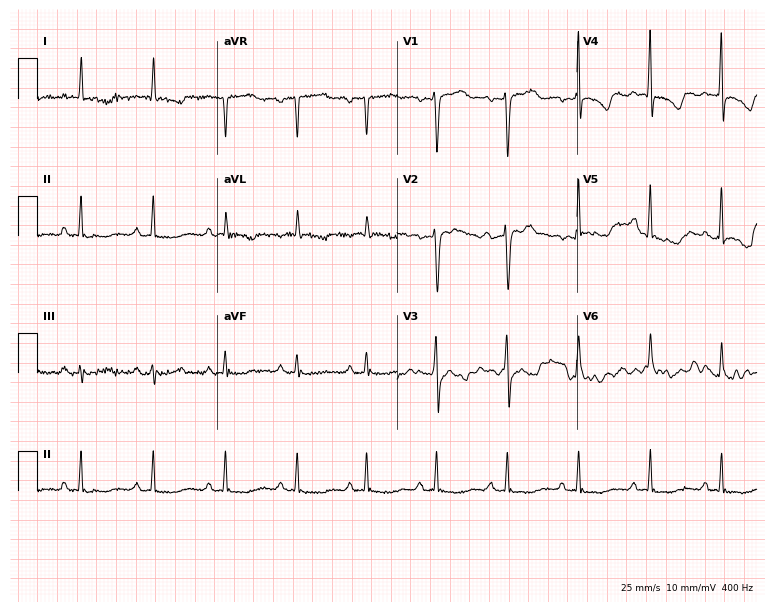
Standard 12-lead ECG recorded from a female, 73 years old (7.3-second recording at 400 Hz). Read as a normal ECG.